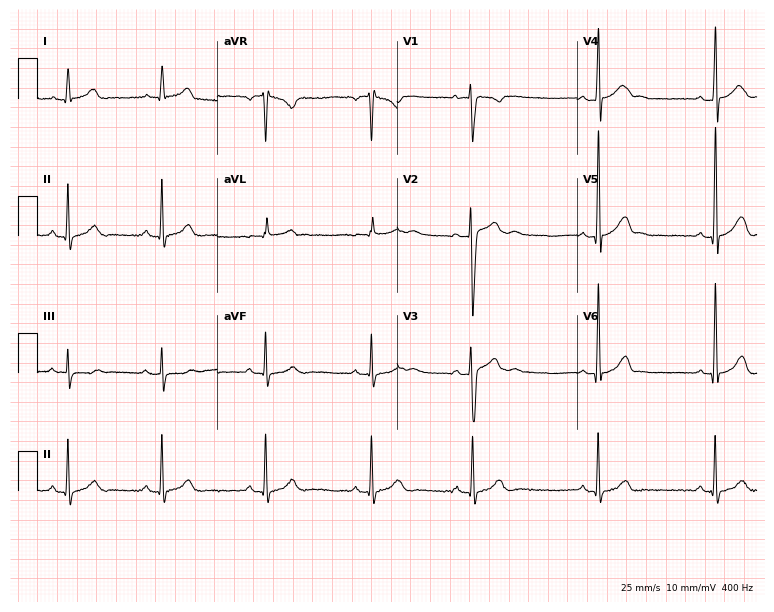
Electrocardiogram, a man, 25 years old. Overall reading on record: normal ECG.